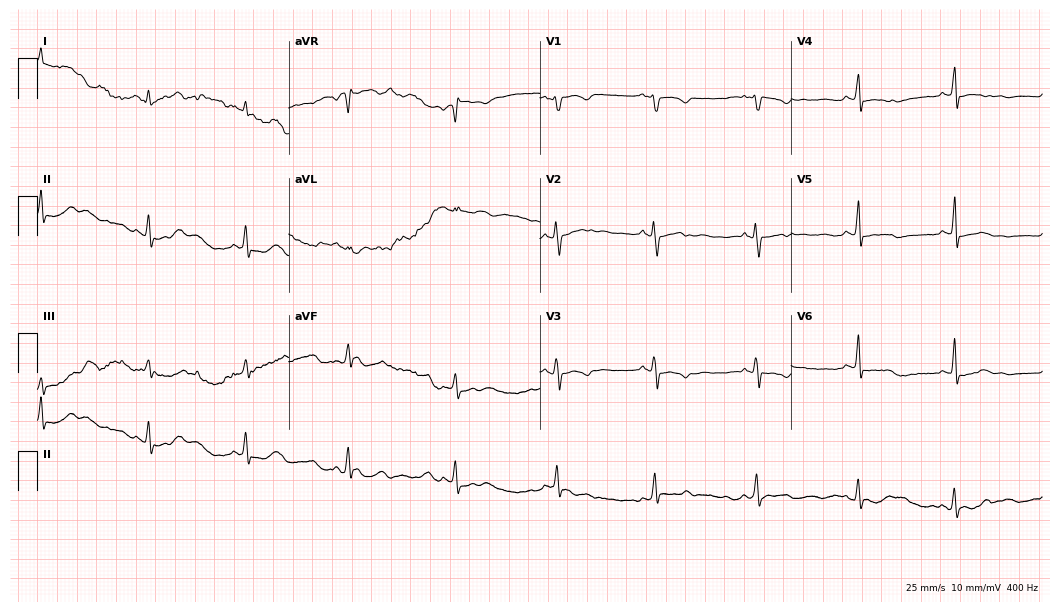
Electrocardiogram, a 31-year-old female patient. Of the six screened findings (first-degree AV block, right bundle branch block (RBBB), left bundle branch block (LBBB), sinus bradycardia, atrial fibrillation (AF), sinus tachycardia), none is recorded.